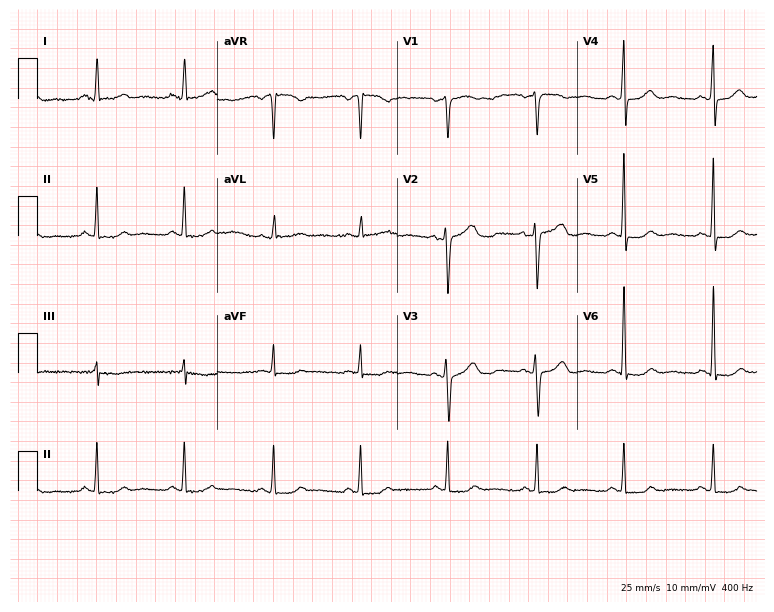
12-lead ECG from a female patient, 46 years old. No first-degree AV block, right bundle branch block, left bundle branch block, sinus bradycardia, atrial fibrillation or sinus tachycardia recorded for this tracing. Findings outside these six are not listed.